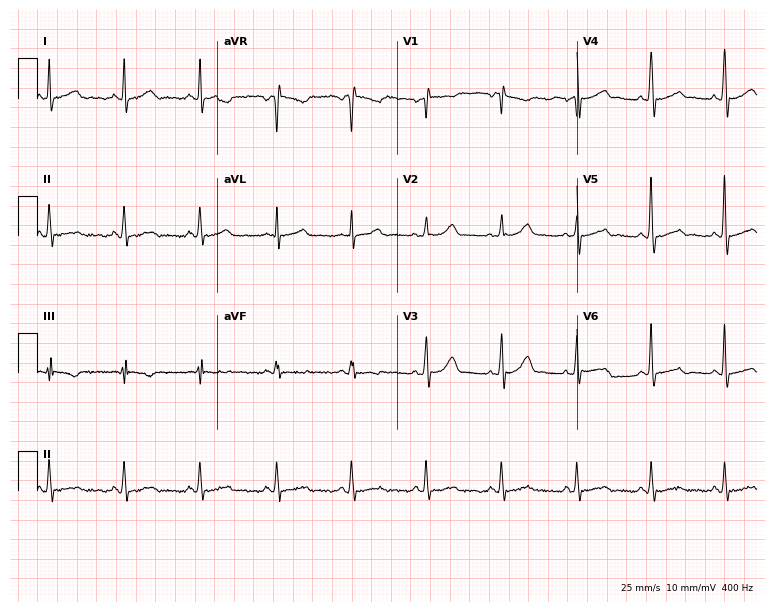
12-lead ECG from a 63-year-old male. Recorded interpretation: within normal limits.